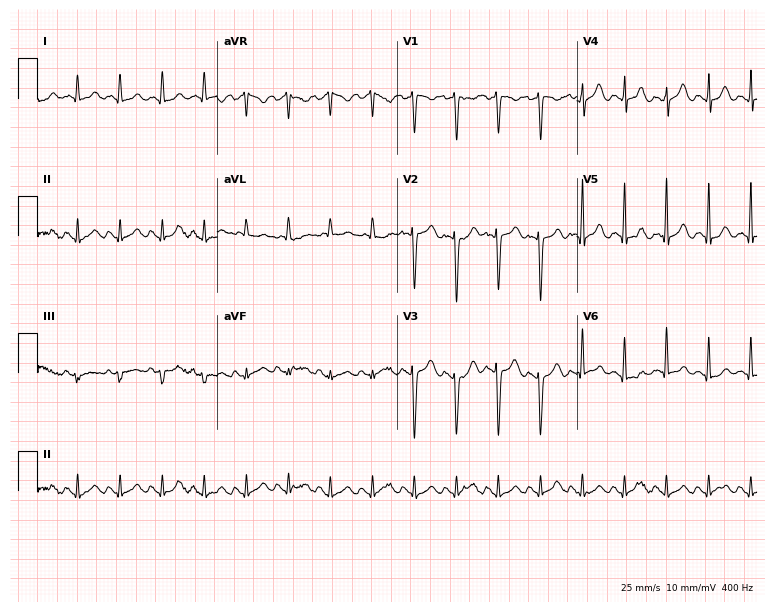
12-lead ECG from a female patient, 27 years old. Findings include sinus tachycardia (a sinus rate of 100 beats per minute or more).